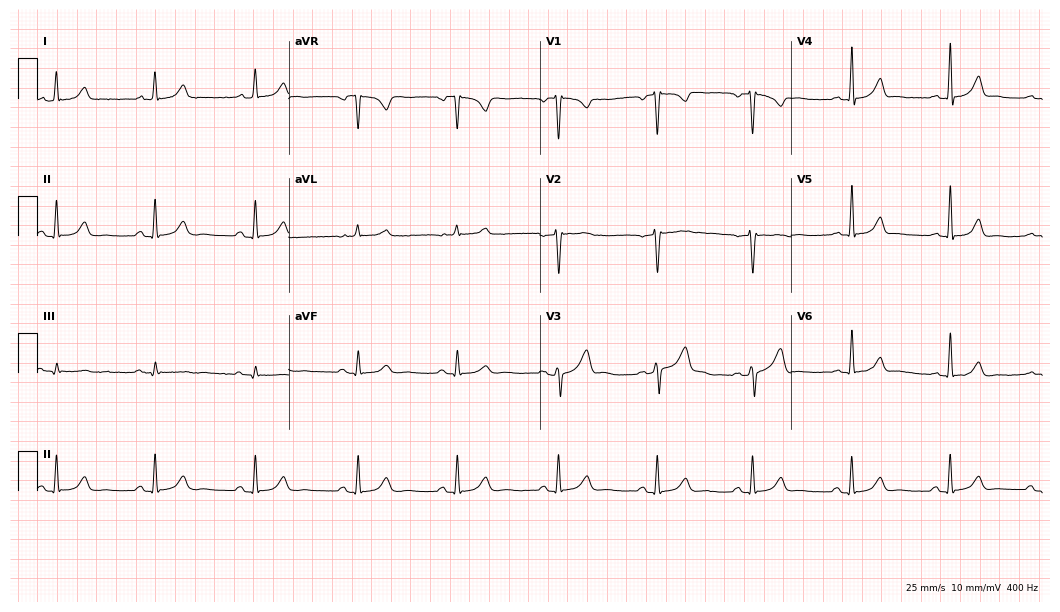
Resting 12-lead electrocardiogram (10.2-second recording at 400 Hz). Patient: a 36-year-old female. Read as a normal ECG.